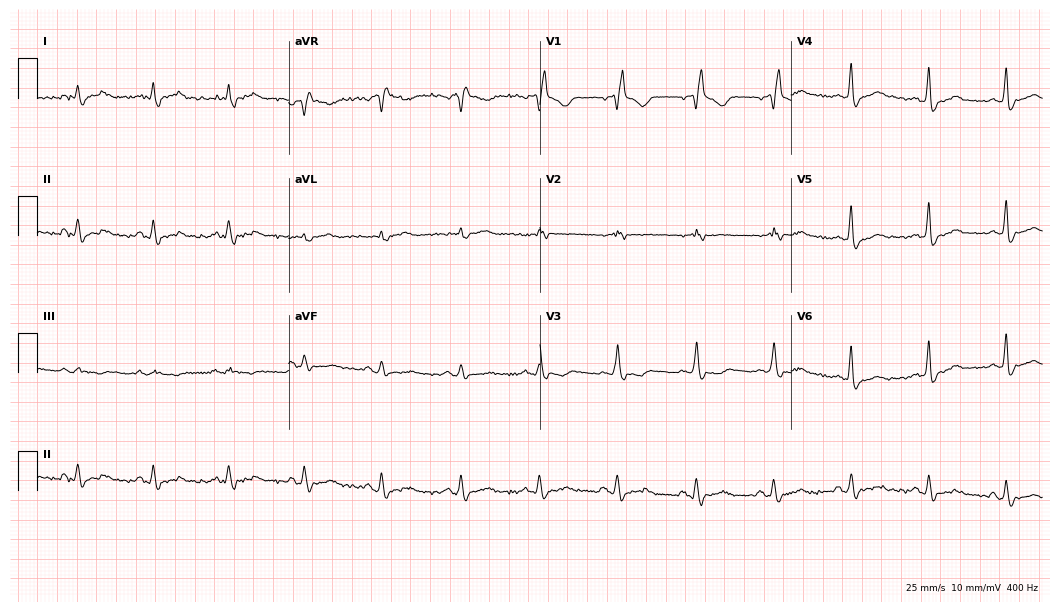
Standard 12-lead ECG recorded from a male patient, 66 years old (10.2-second recording at 400 Hz). None of these six findings is recorded: first-degree AV block, right bundle branch block, left bundle branch block, sinus bradycardia, atrial fibrillation, sinus tachycardia.